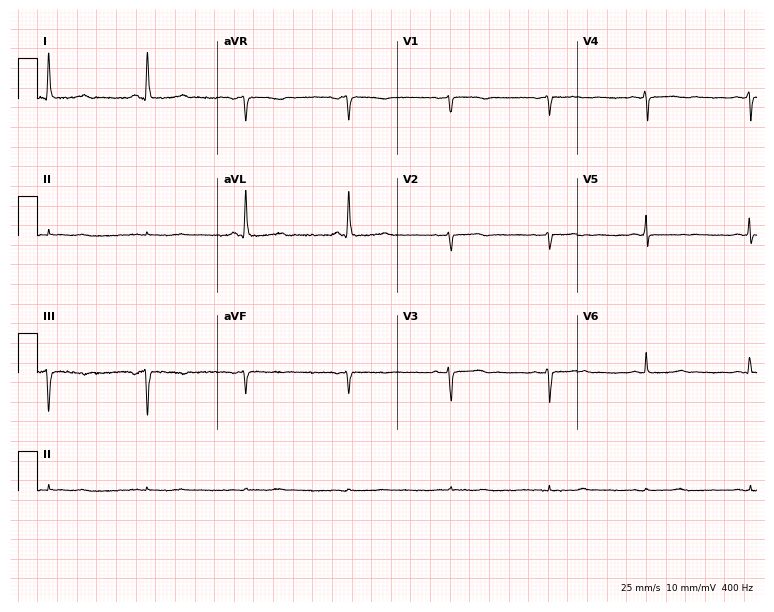
12-lead ECG from a 76-year-old woman (7.3-second recording at 400 Hz). No first-degree AV block, right bundle branch block, left bundle branch block, sinus bradycardia, atrial fibrillation or sinus tachycardia recorded for this tracing.